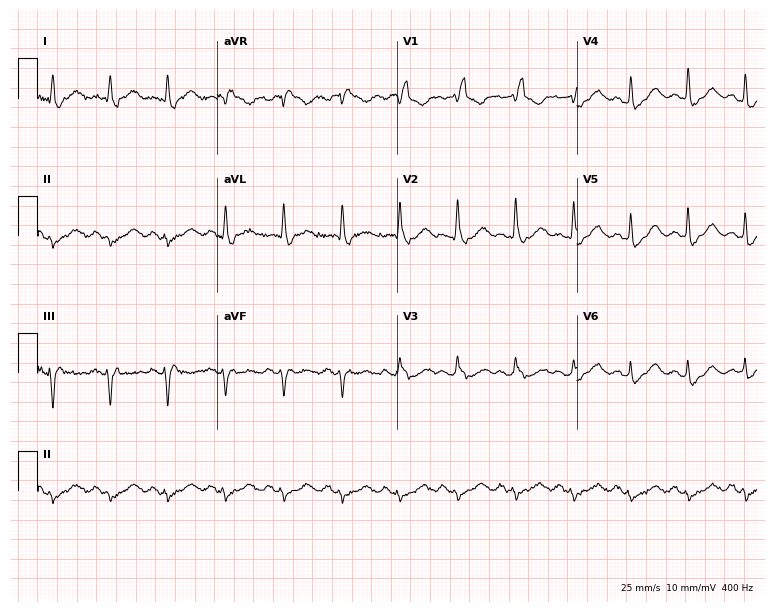
Standard 12-lead ECG recorded from an 82-year-old female patient (7.3-second recording at 400 Hz). The tracing shows right bundle branch block, sinus tachycardia (a sinus rate of 100 beats per minute or more).